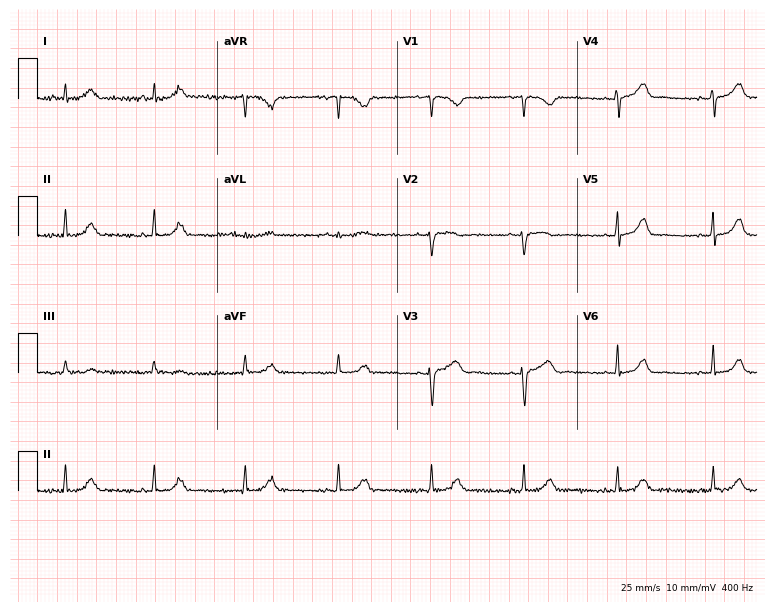
12-lead ECG from a female patient, 40 years old. No first-degree AV block, right bundle branch block (RBBB), left bundle branch block (LBBB), sinus bradycardia, atrial fibrillation (AF) or sinus tachycardia recorded for this tracing.